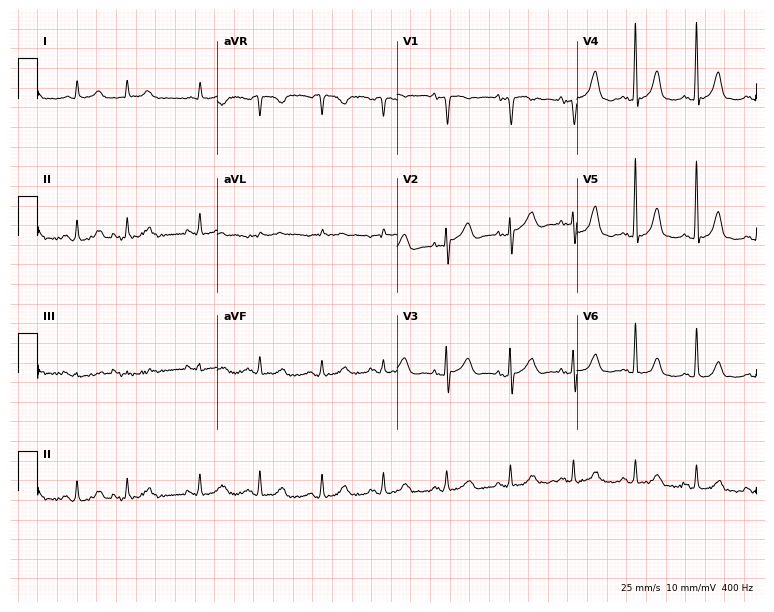
12-lead ECG from a female patient, 85 years old. Screened for six findings — first-degree AV block, right bundle branch block, left bundle branch block, sinus bradycardia, atrial fibrillation, sinus tachycardia — none is recorded.